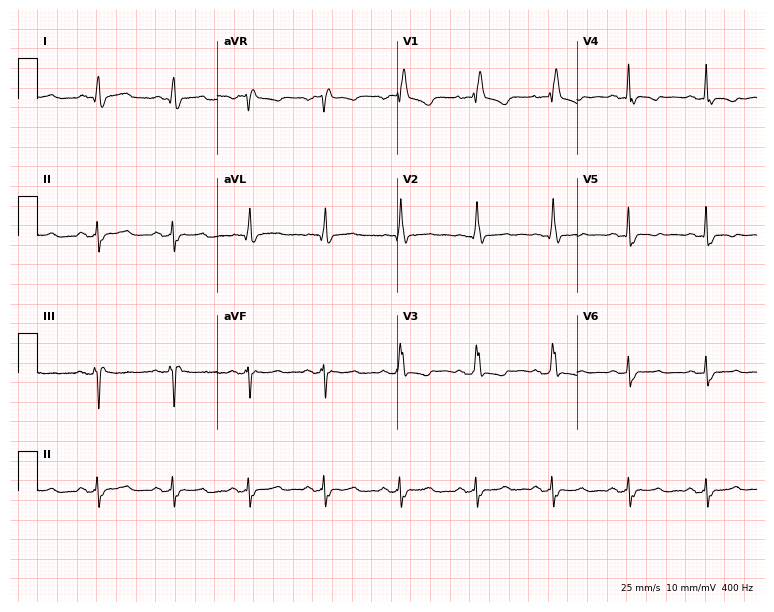
ECG (7.3-second recording at 400 Hz) — a female, 68 years old. Findings include right bundle branch block (RBBB).